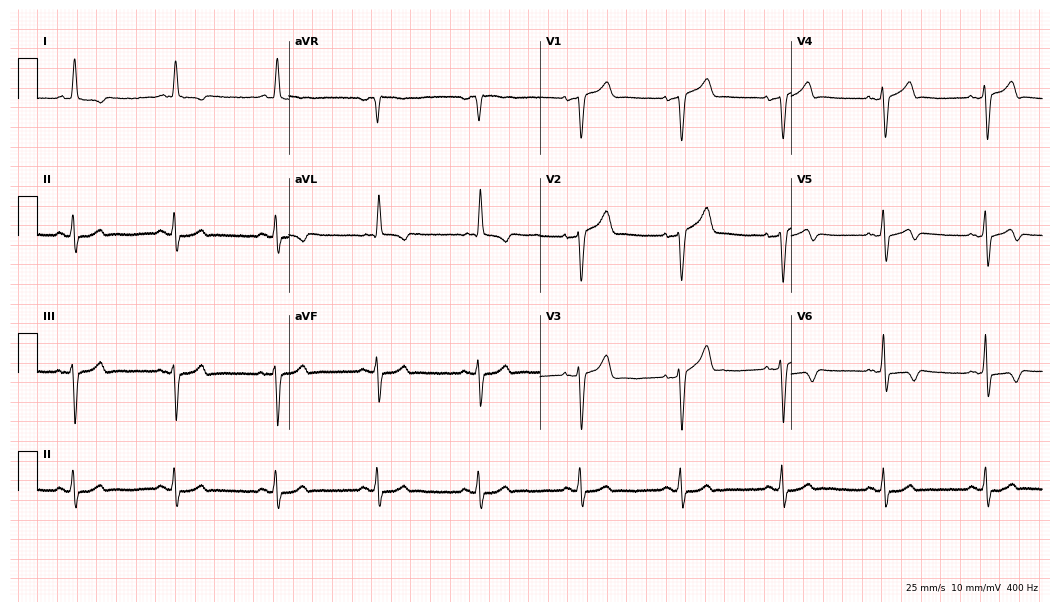
Resting 12-lead electrocardiogram. Patient: a man, 80 years old. None of these six findings is recorded: first-degree AV block, right bundle branch block, left bundle branch block, sinus bradycardia, atrial fibrillation, sinus tachycardia.